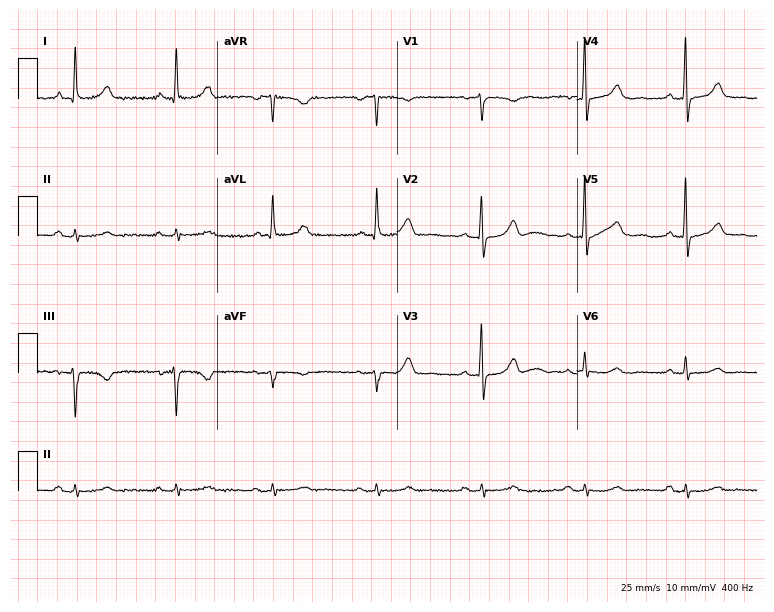
Electrocardiogram, a 72-year-old man. Of the six screened findings (first-degree AV block, right bundle branch block, left bundle branch block, sinus bradycardia, atrial fibrillation, sinus tachycardia), none is recorded.